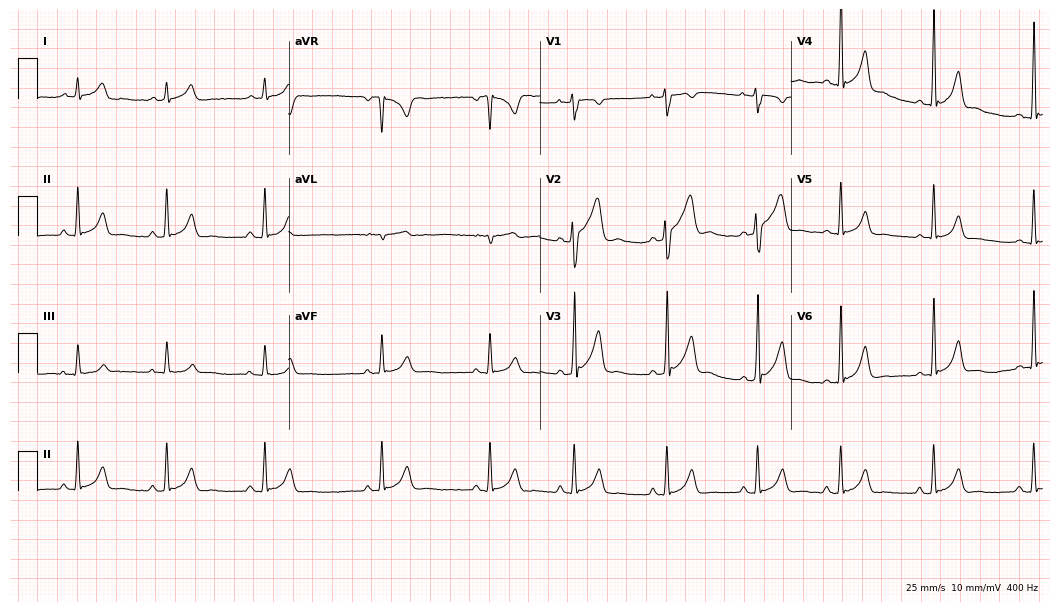
Standard 12-lead ECG recorded from a 34-year-old man. None of these six findings is recorded: first-degree AV block, right bundle branch block (RBBB), left bundle branch block (LBBB), sinus bradycardia, atrial fibrillation (AF), sinus tachycardia. Findings outside these six are not listed.